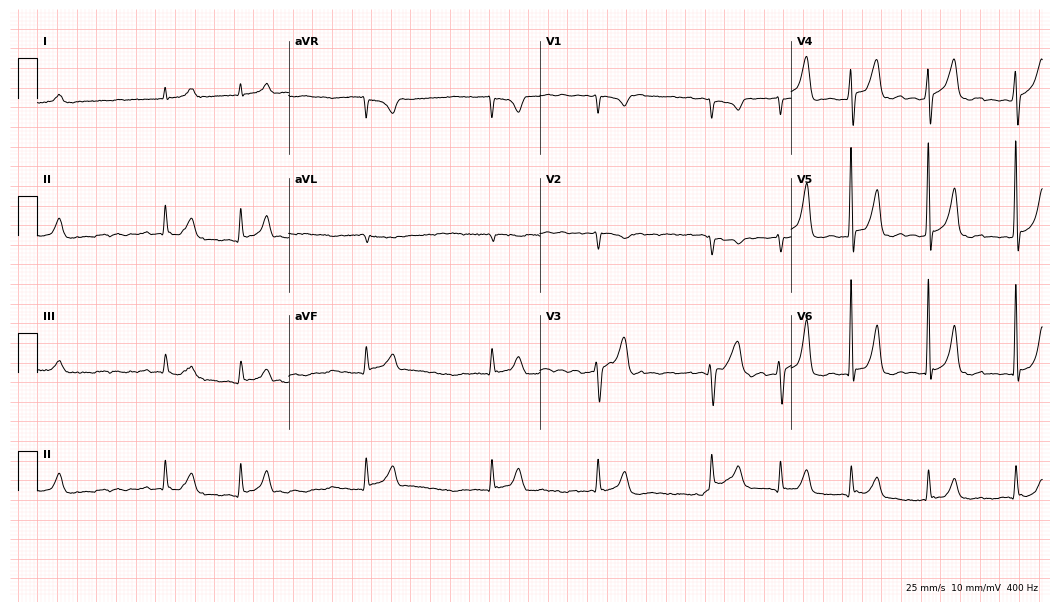
Standard 12-lead ECG recorded from an 81-year-old male (10.2-second recording at 400 Hz). The tracing shows atrial fibrillation.